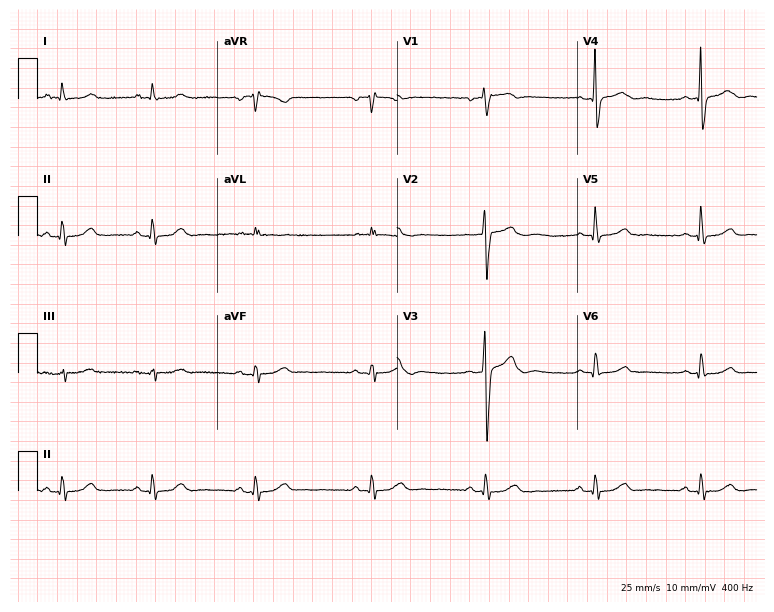
12-lead ECG from a 63-year-old man (7.3-second recording at 400 Hz). Recorded interpretation: within normal limits.